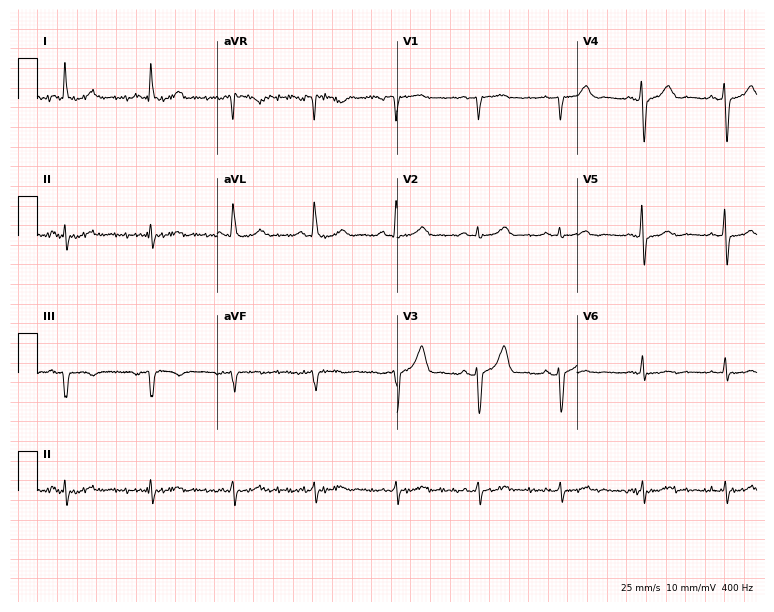
Standard 12-lead ECG recorded from a 76-year-old female patient (7.3-second recording at 400 Hz). None of these six findings is recorded: first-degree AV block, right bundle branch block (RBBB), left bundle branch block (LBBB), sinus bradycardia, atrial fibrillation (AF), sinus tachycardia. Only these six findings were labelled.